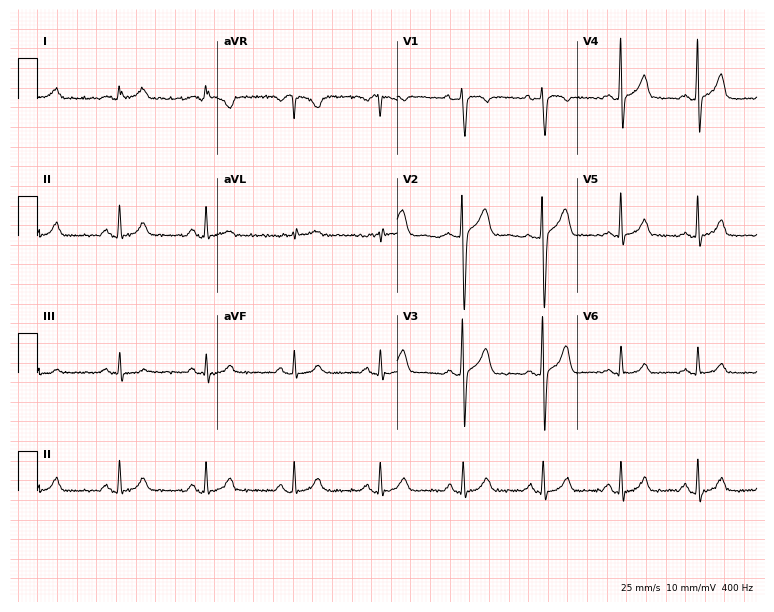
Electrocardiogram, a male patient, 39 years old. Overall reading on record: normal ECG.